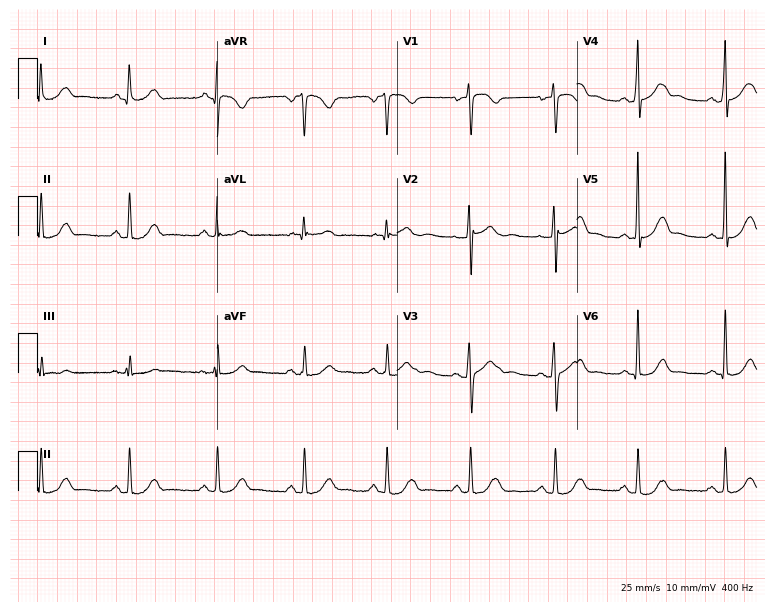
Resting 12-lead electrocardiogram. Patient: a 37-year-old woman. Read as a normal ECG.